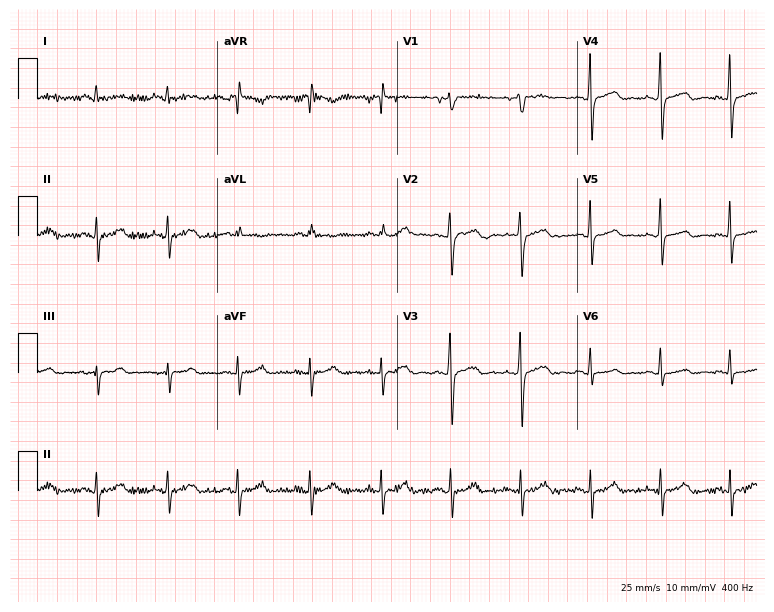
Standard 12-lead ECG recorded from a 58-year-old female. Read as a normal ECG.